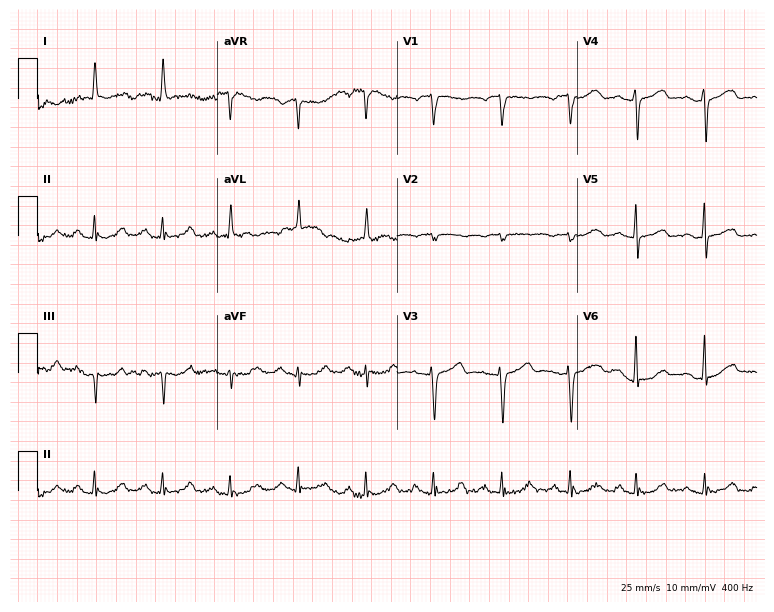
Standard 12-lead ECG recorded from a 76-year-old female. Read as a normal ECG.